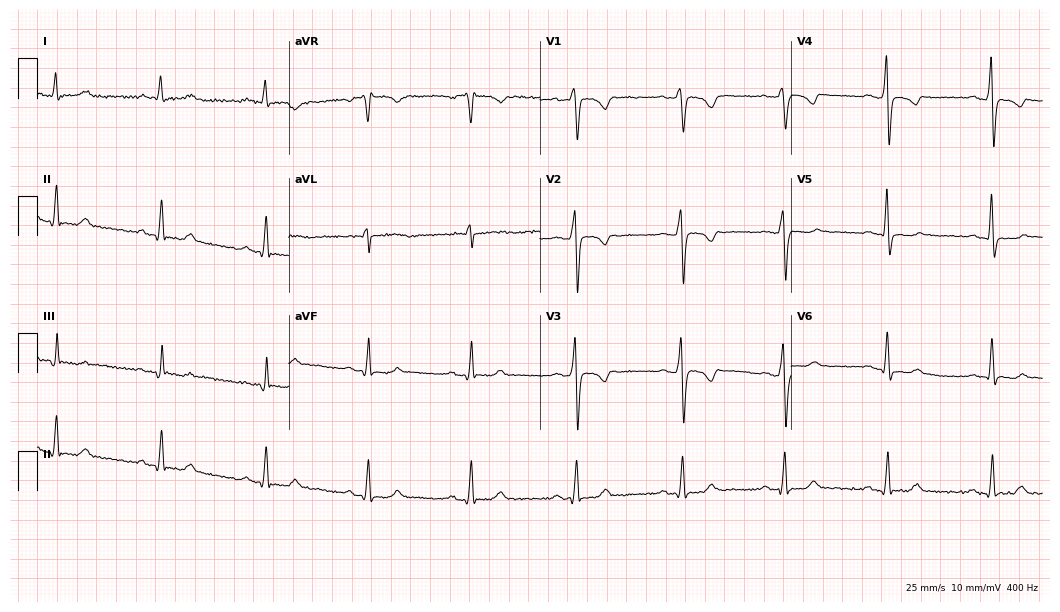
ECG — a woman, 55 years old. Screened for six findings — first-degree AV block, right bundle branch block, left bundle branch block, sinus bradycardia, atrial fibrillation, sinus tachycardia — none is recorded. Other findings, if any, are not listed.